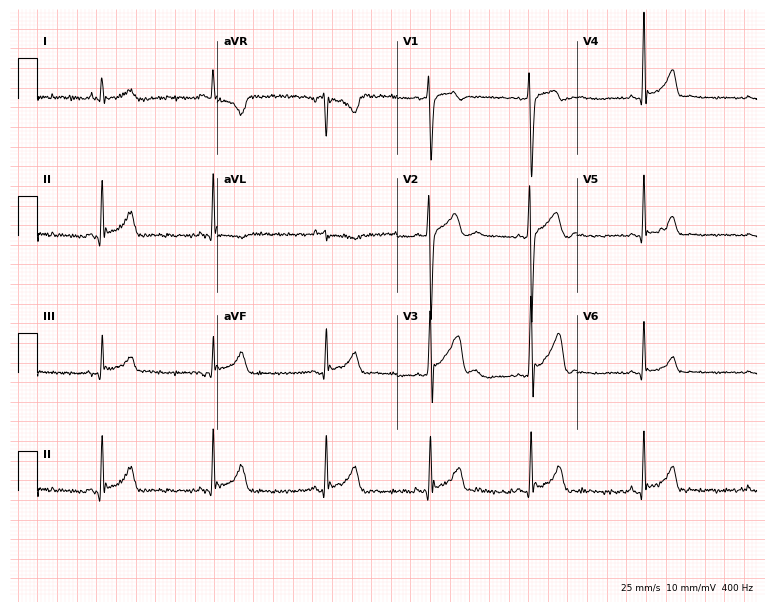
Standard 12-lead ECG recorded from a male patient, 29 years old. None of these six findings is recorded: first-degree AV block, right bundle branch block, left bundle branch block, sinus bradycardia, atrial fibrillation, sinus tachycardia.